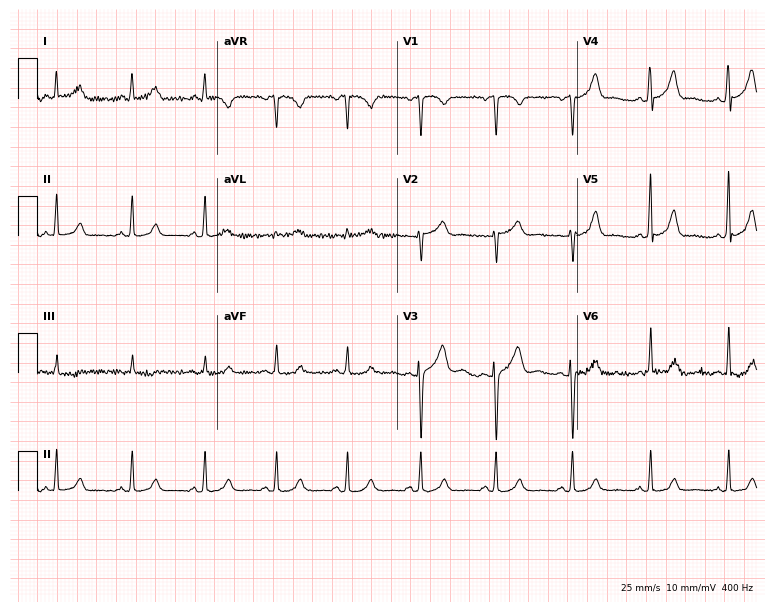
Resting 12-lead electrocardiogram. Patient: a woman, 34 years old. None of these six findings is recorded: first-degree AV block, right bundle branch block, left bundle branch block, sinus bradycardia, atrial fibrillation, sinus tachycardia.